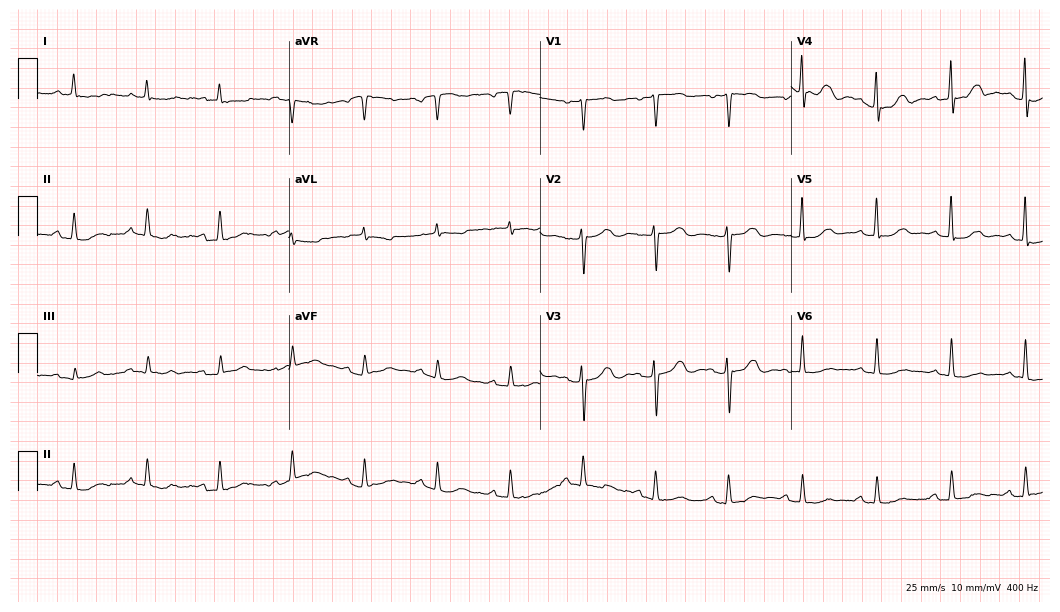
12-lead ECG from a 73-year-old woman (10.2-second recording at 400 Hz). No first-degree AV block, right bundle branch block, left bundle branch block, sinus bradycardia, atrial fibrillation or sinus tachycardia recorded for this tracing.